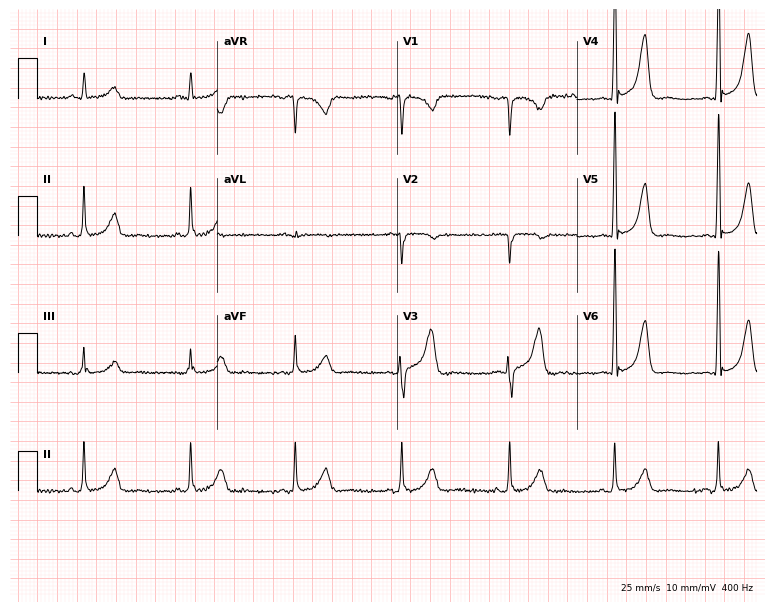
12-lead ECG from a 56-year-old man. Screened for six findings — first-degree AV block, right bundle branch block (RBBB), left bundle branch block (LBBB), sinus bradycardia, atrial fibrillation (AF), sinus tachycardia — none is recorded. Findings outside these six are not listed.